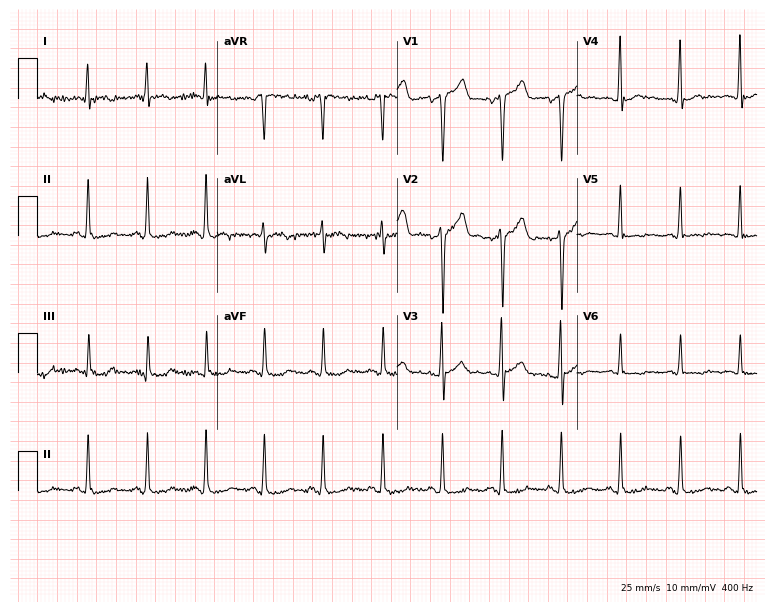
Standard 12-lead ECG recorded from a man, 62 years old. None of these six findings is recorded: first-degree AV block, right bundle branch block (RBBB), left bundle branch block (LBBB), sinus bradycardia, atrial fibrillation (AF), sinus tachycardia. Only these six findings were labelled.